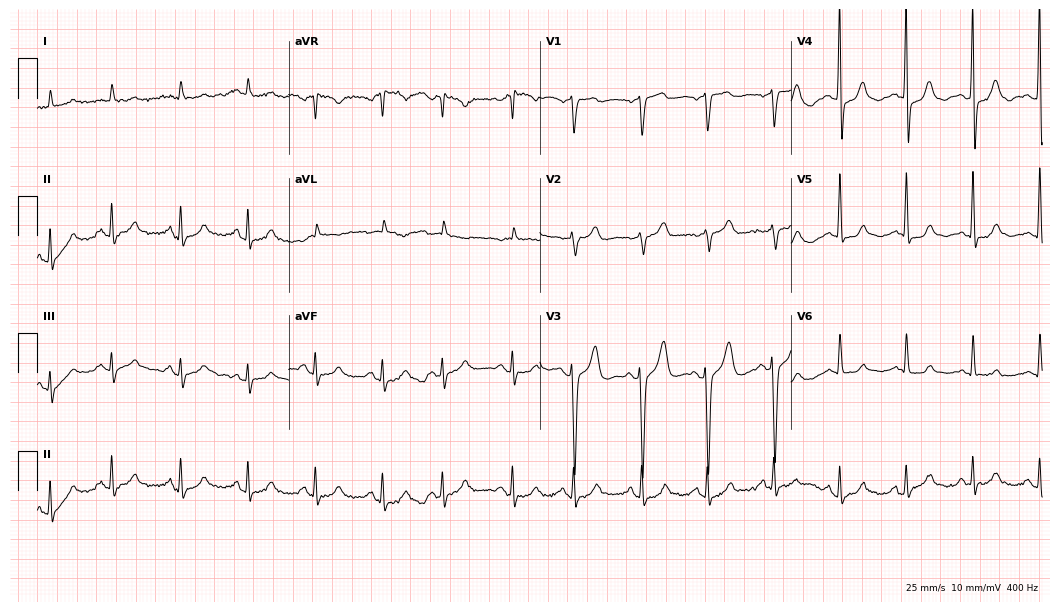
Standard 12-lead ECG recorded from a male patient, 81 years old (10.2-second recording at 400 Hz). None of these six findings is recorded: first-degree AV block, right bundle branch block (RBBB), left bundle branch block (LBBB), sinus bradycardia, atrial fibrillation (AF), sinus tachycardia.